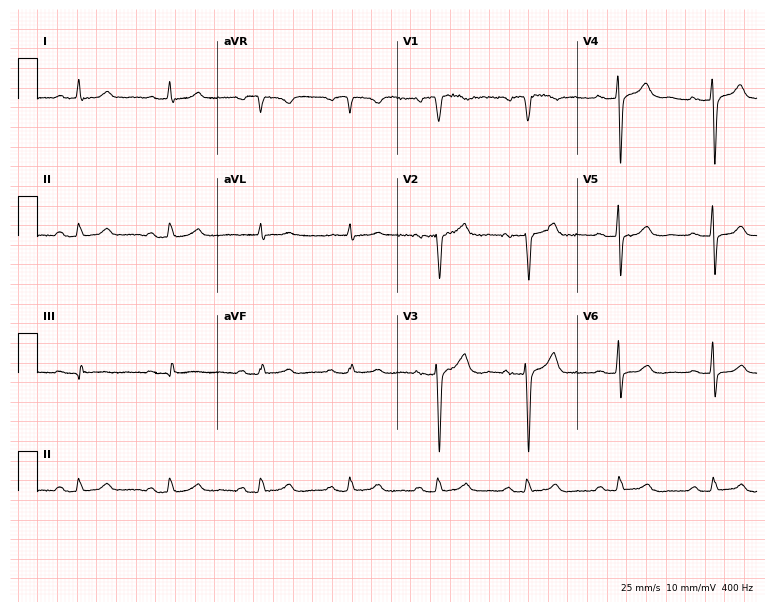
Resting 12-lead electrocardiogram. Patient: a man, 63 years old. None of these six findings is recorded: first-degree AV block, right bundle branch block (RBBB), left bundle branch block (LBBB), sinus bradycardia, atrial fibrillation (AF), sinus tachycardia. Only these six findings were labelled.